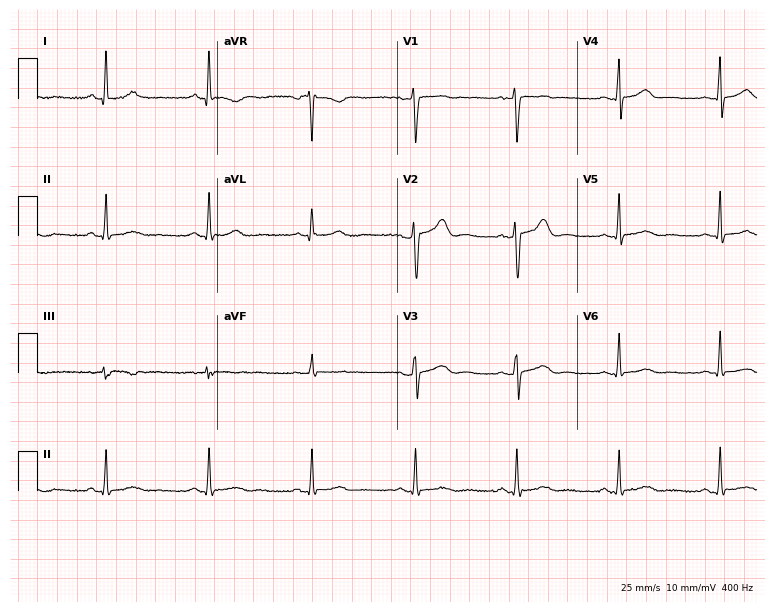
Electrocardiogram, a male, 42 years old. Of the six screened findings (first-degree AV block, right bundle branch block, left bundle branch block, sinus bradycardia, atrial fibrillation, sinus tachycardia), none is recorded.